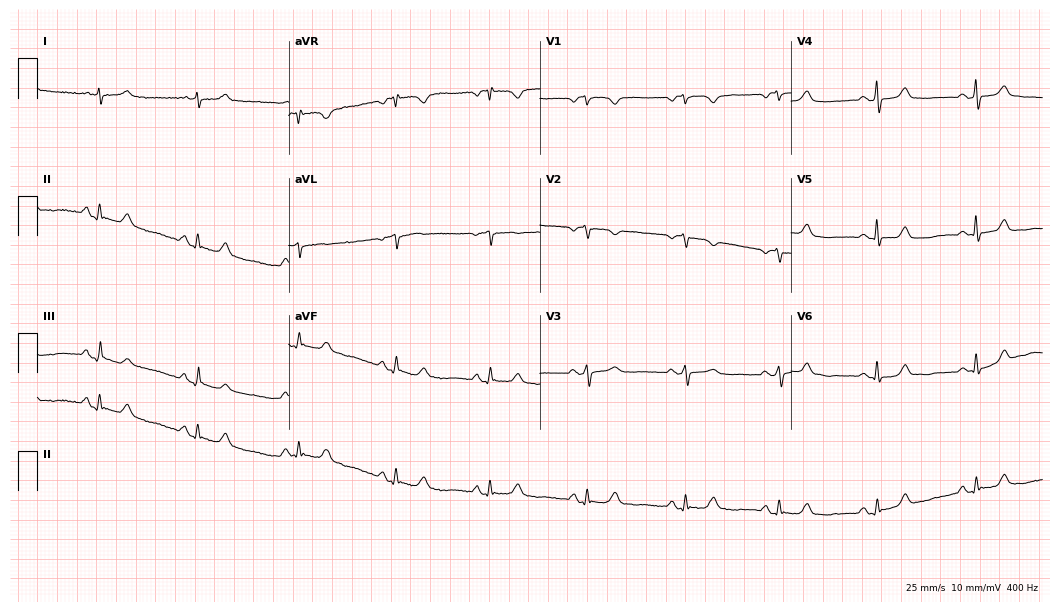
12-lead ECG (10.2-second recording at 400 Hz) from a woman, 75 years old. Labelled as a normal ECG.